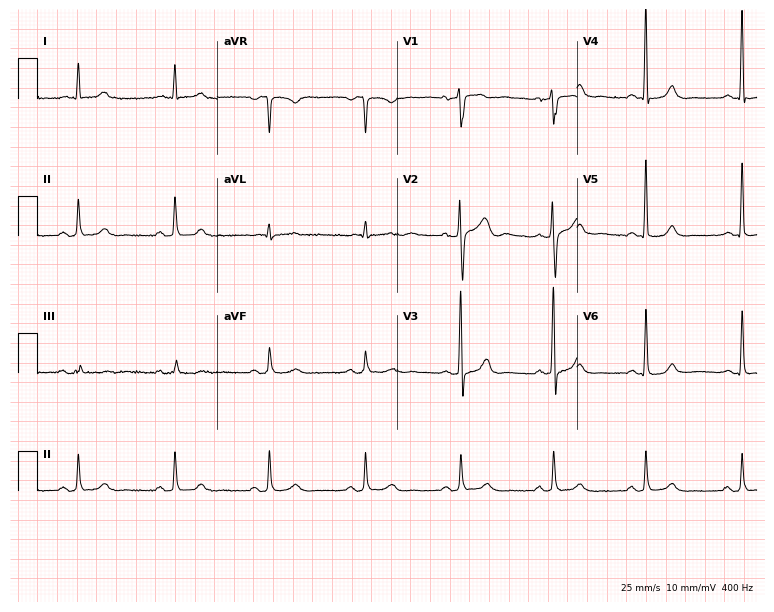
12-lead ECG (7.3-second recording at 400 Hz) from a man, 83 years old. Labelled as a normal ECG.